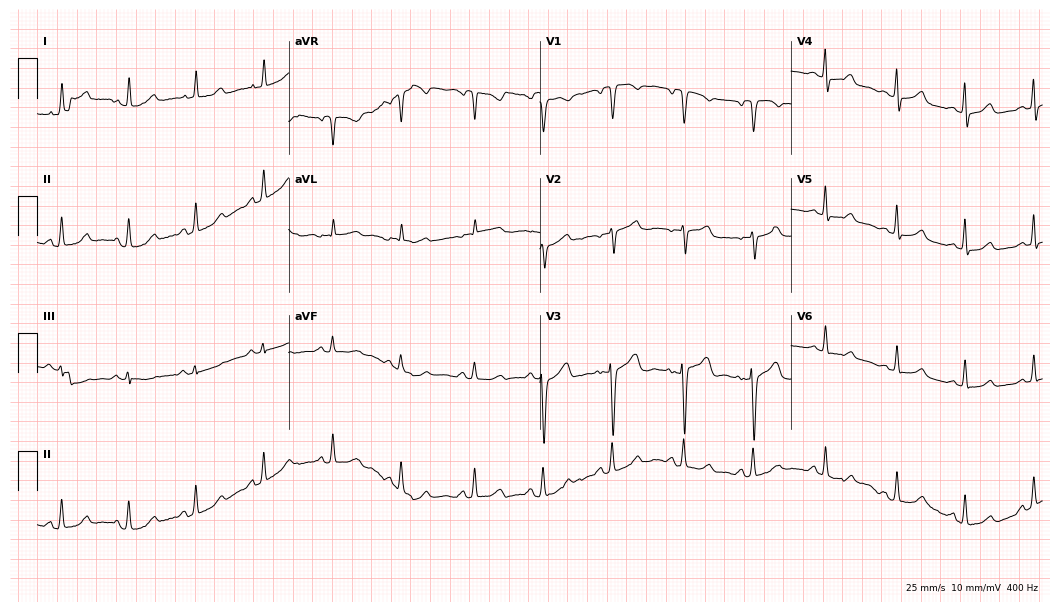
Resting 12-lead electrocardiogram. Patient: a 60-year-old female. None of these six findings is recorded: first-degree AV block, right bundle branch block, left bundle branch block, sinus bradycardia, atrial fibrillation, sinus tachycardia. Findings outside these six are not listed.